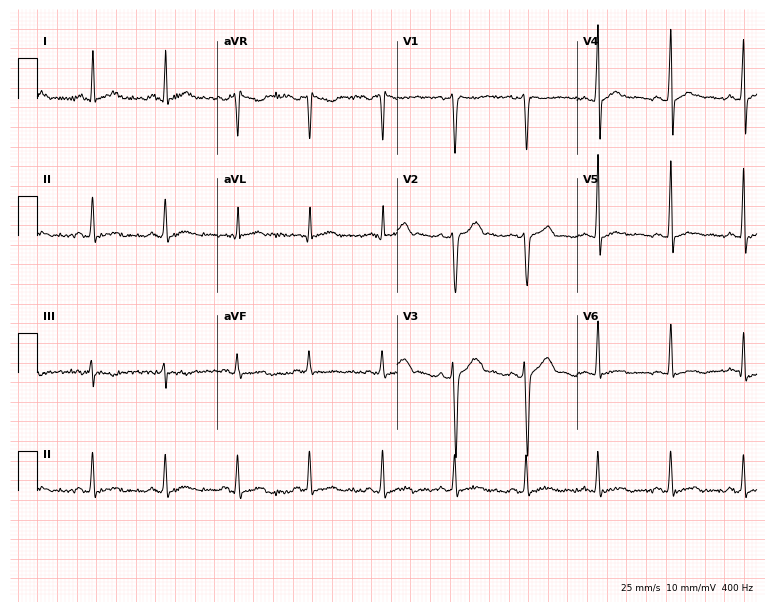
12-lead ECG from a male patient, 34 years old. Recorded interpretation: within normal limits.